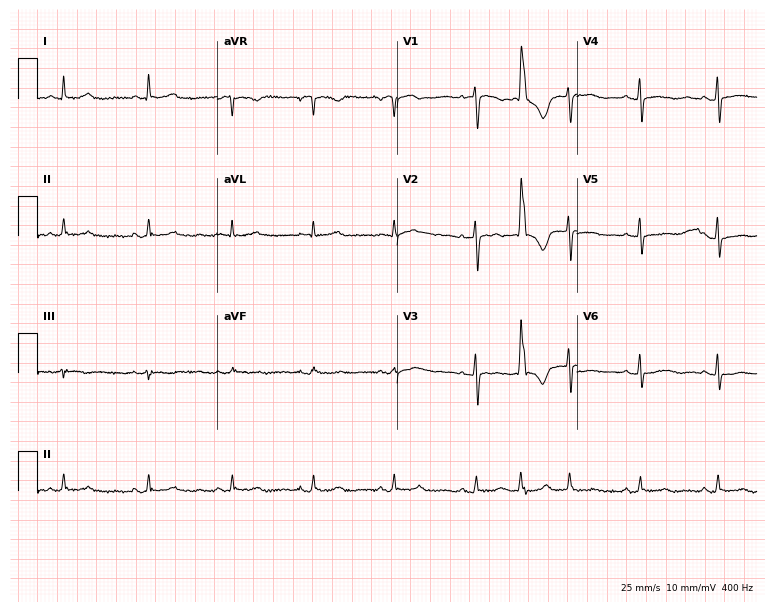
Electrocardiogram (7.3-second recording at 400 Hz), a 57-year-old woman. Of the six screened findings (first-degree AV block, right bundle branch block (RBBB), left bundle branch block (LBBB), sinus bradycardia, atrial fibrillation (AF), sinus tachycardia), none is recorded.